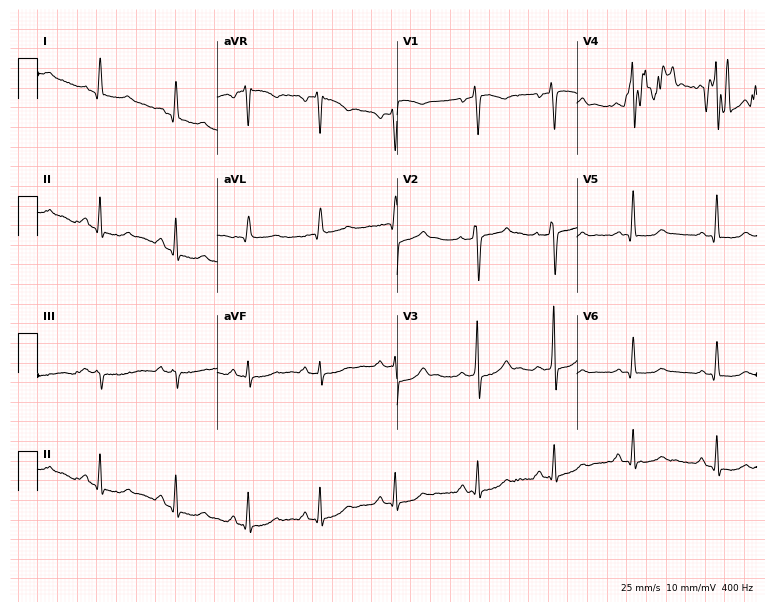
Resting 12-lead electrocardiogram. Patient: a male, 52 years old. None of these six findings is recorded: first-degree AV block, right bundle branch block (RBBB), left bundle branch block (LBBB), sinus bradycardia, atrial fibrillation (AF), sinus tachycardia. Findings outside these six are not listed.